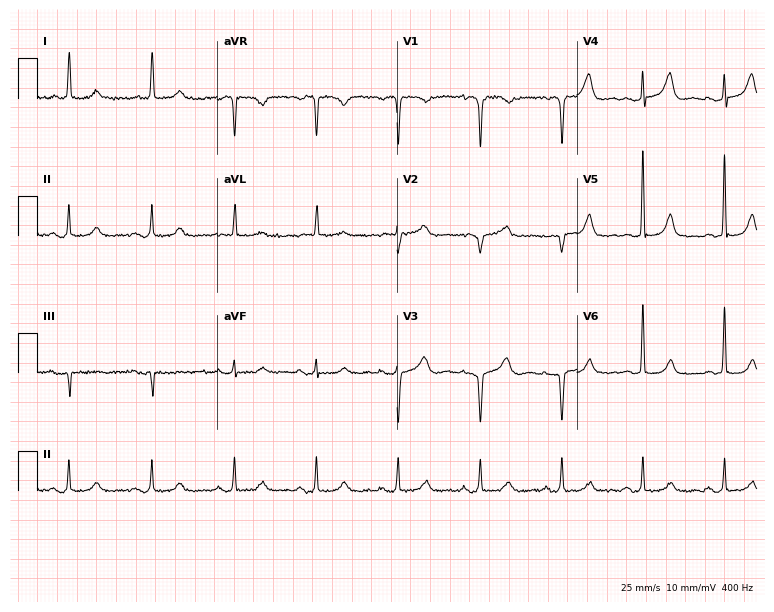
Electrocardiogram, an 82-year-old woman. Overall reading on record: normal ECG.